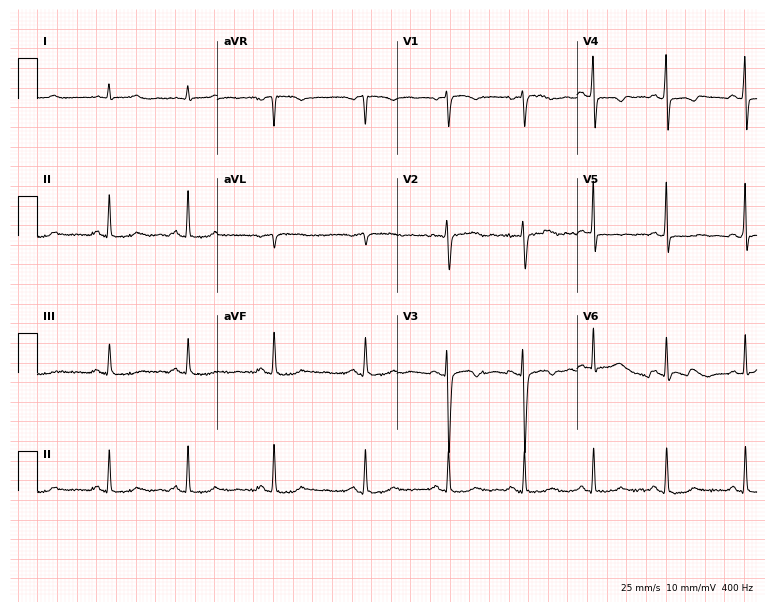
ECG — a woman, 42 years old. Screened for six findings — first-degree AV block, right bundle branch block, left bundle branch block, sinus bradycardia, atrial fibrillation, sinus tachycardia — none is recorded. Only these six findings were labelled.